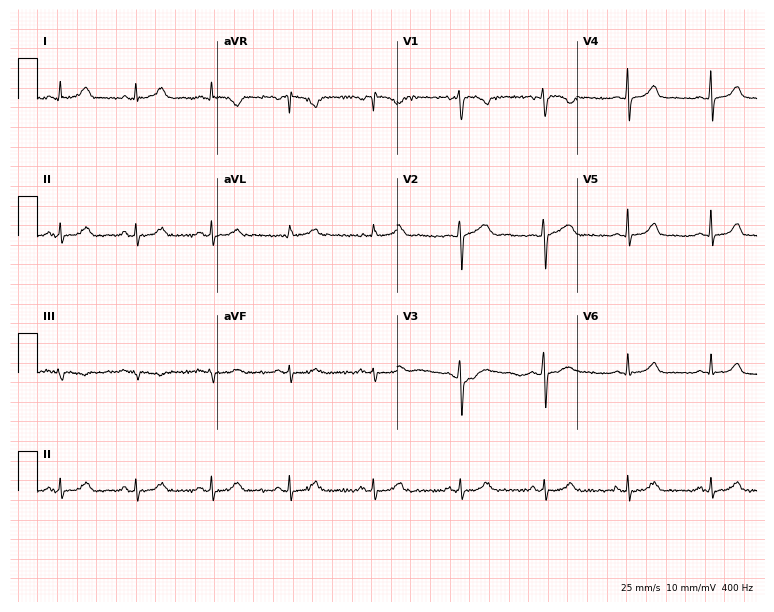
Standard 12-lead ECG recorded from a female patient, 39 years old (7.3-second recording at 400 Hz). Read as a normal ECG.